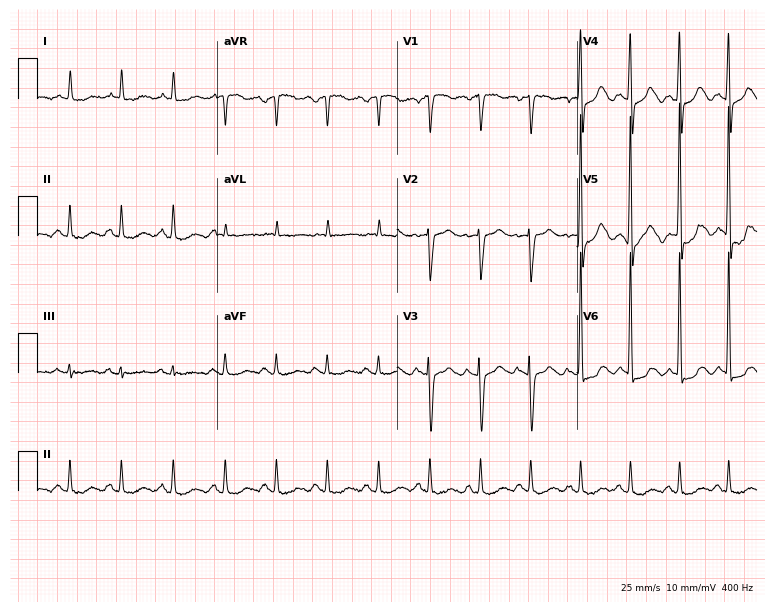
Standard 12-lead ECG recorded from a woman, 85 years old. The tracing shows sinus tachycardia (a sinus rate of 100 beats per minute or more).